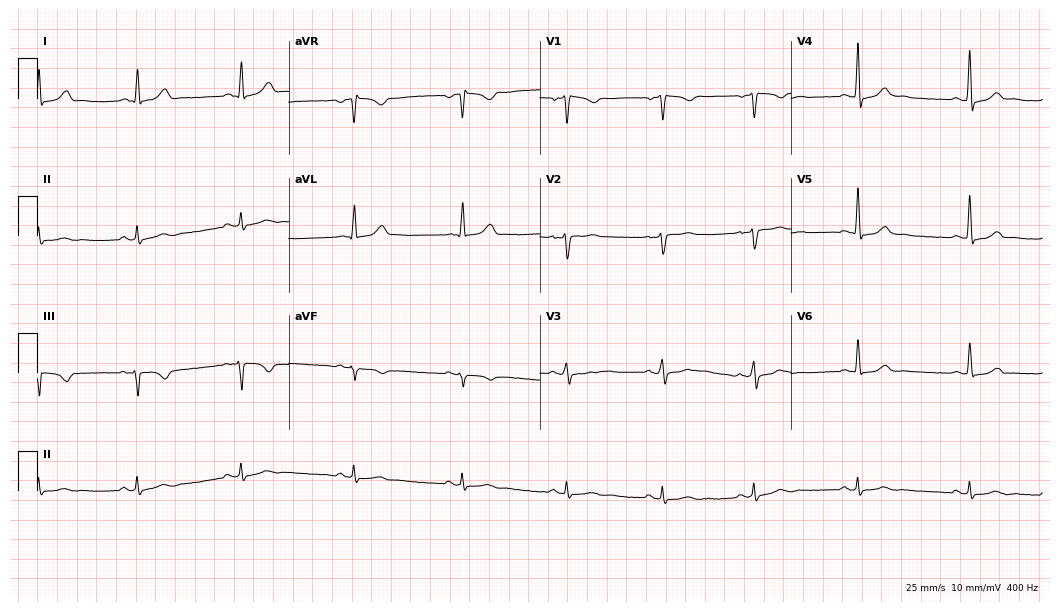
12-lead ECG from a male, 34 years old. No first-degree AV block, right bundle branch block (RBBB), left bundle branch block (LBBB), sinus bradycardia, atrial fibrillation (AF) or sinus tachycardia recorded for this tracing. Only these six findings were labelled.